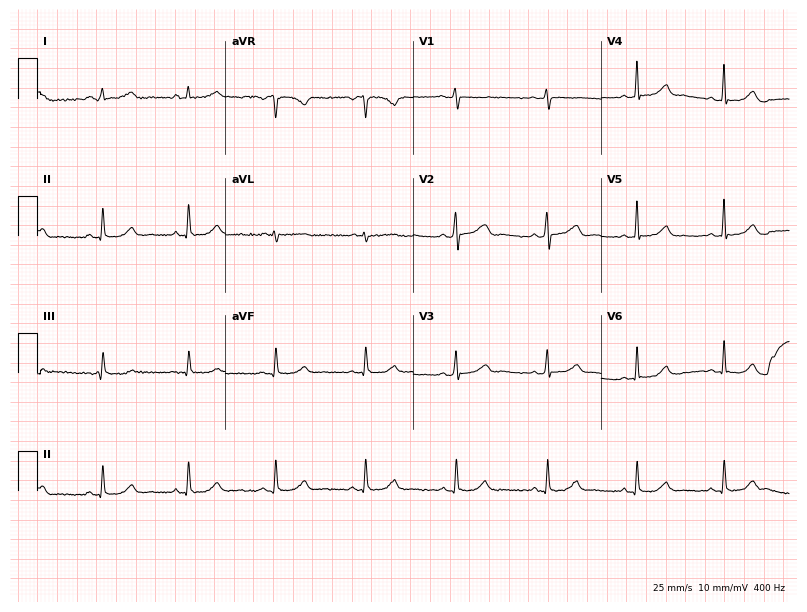
12-lead ECG from a 42-year-old woman (7.7-second recording at 400 Hz). Recorded interpretation: within normal limits.